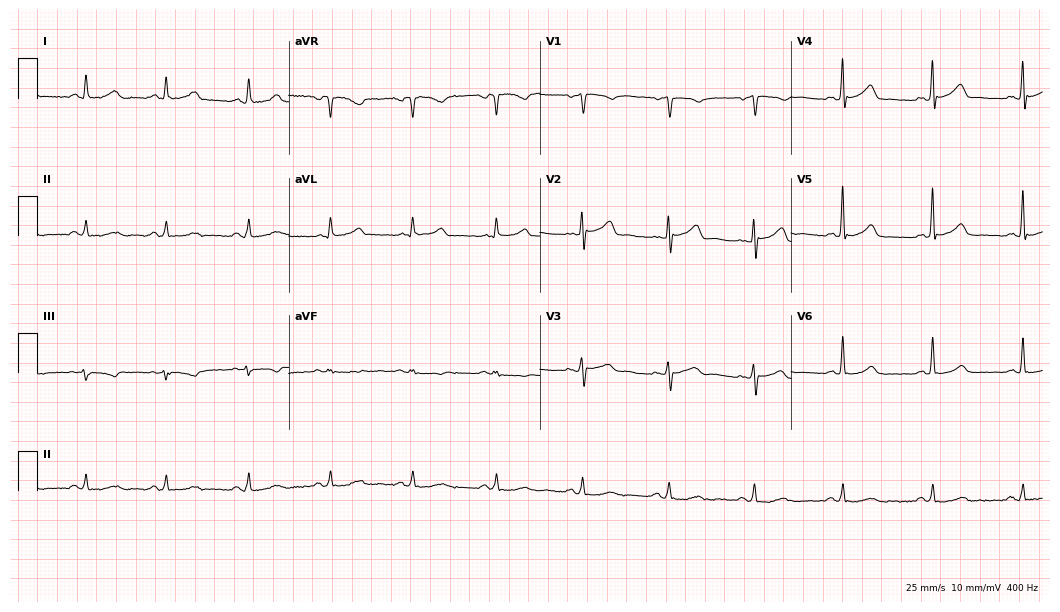
Resting 12-lead electrocardiogram. Patient: a female, 65 years old. None of these six findings is recorded: first-degree AV block, right bundle branch block, left bundle branch block, sinus bradycardia, atrial fibrillation, sinus tachycardia. Findings outside these six are not listed.